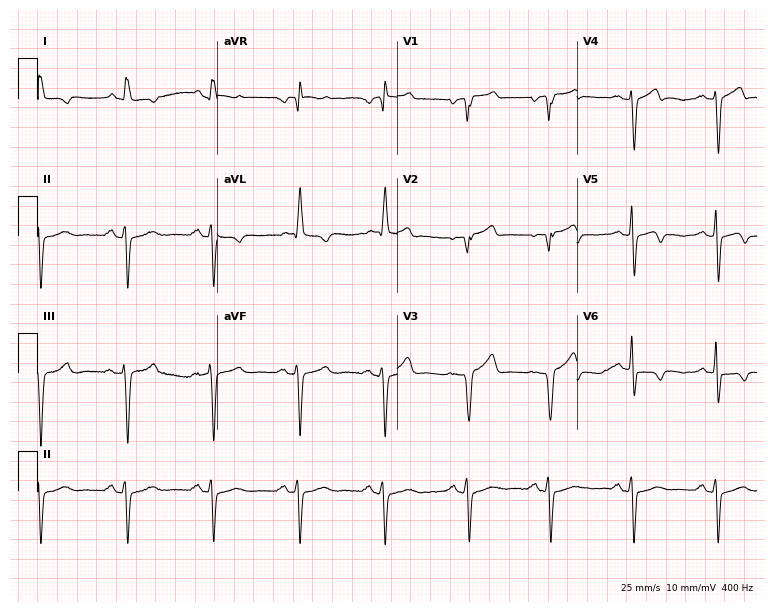
Resting 12-lead electrocardiogram. Patient: a 73-year-old male. None of these six findings is recorded: first-degree AV block, right bundle branch block, left bundle branch block, sinus bradycardia, atrial fibrillation, sinus tachycardia. Other findings, if any, are not listed.